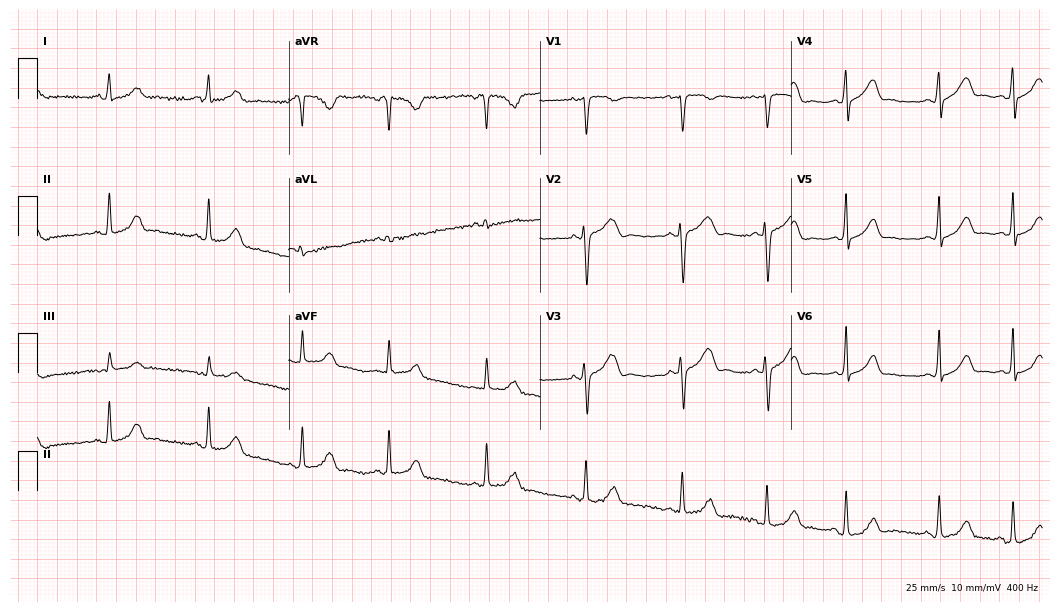
Electrocardiogram, a female, 22 years old. Of the six screened findings (first-degree AV block, right bundle branch block, left bundle branch block, sinus bradycardia, atrial fibrillation, sinus tachycardia), none is recorded. Other findings, if any, are not listed.